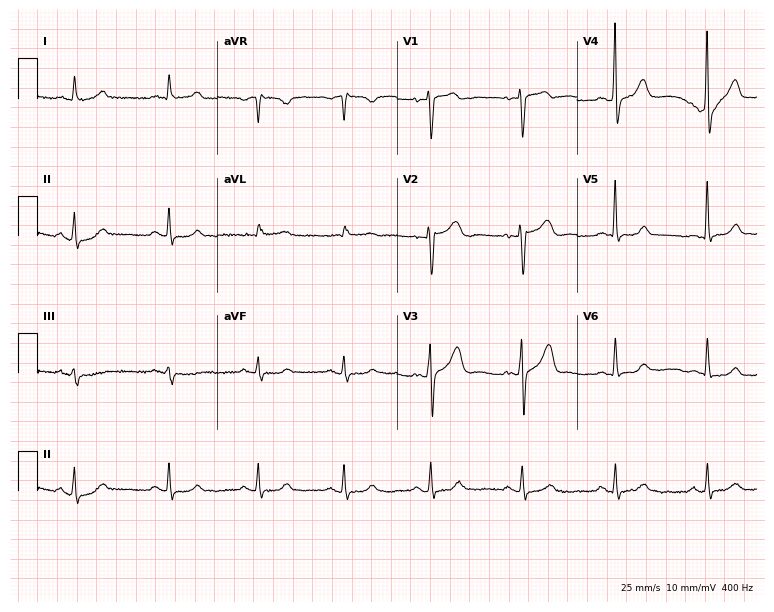
ECG (7.3-second recording at 400 Hz) — a 73-year-old male. Labelled as a normal ECG.